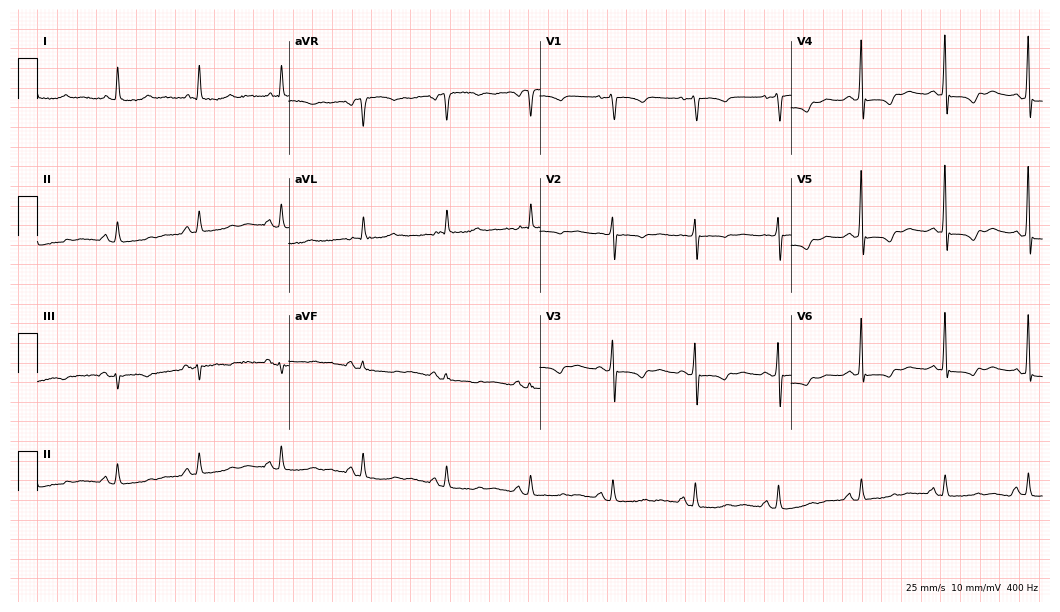
Standard 12-lead ECG recorded from a 74-year-old female patient. None of these six findings is recorded: first-degree AV block, right bundle branch block (RBBB), left bundle branch block (LBBB), sinus bradycardia, atrial fibrillation (AF), sinus tachycardia. Findings outside these six are not listed.